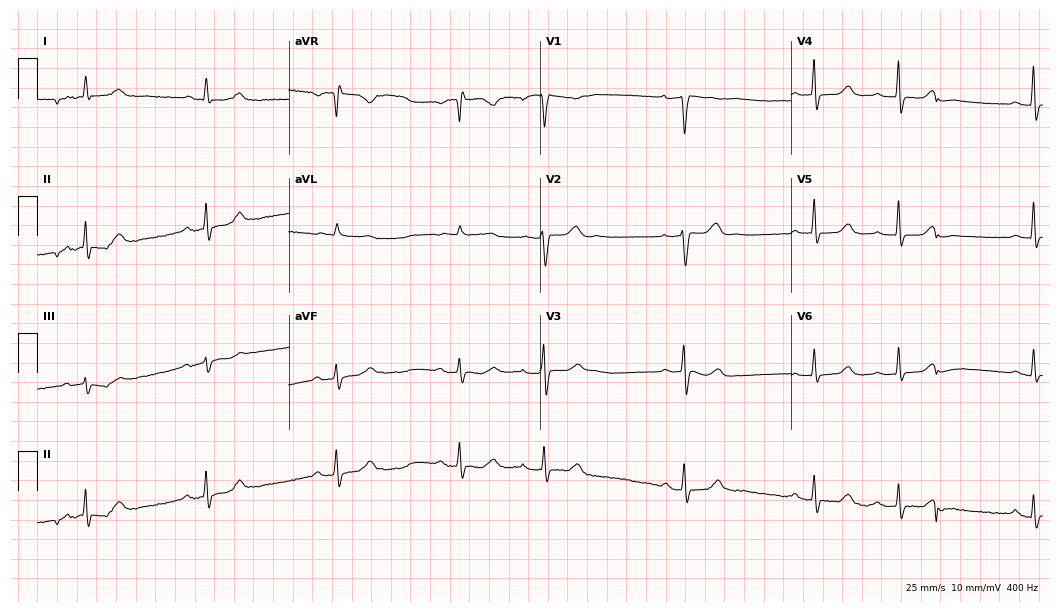
Electrocardiogram (10.2-second recording at 400 Hz), a female, 78 years old. Interpretation includes sinus bradycardia (a sinus rate of 50 beats per minute or less).